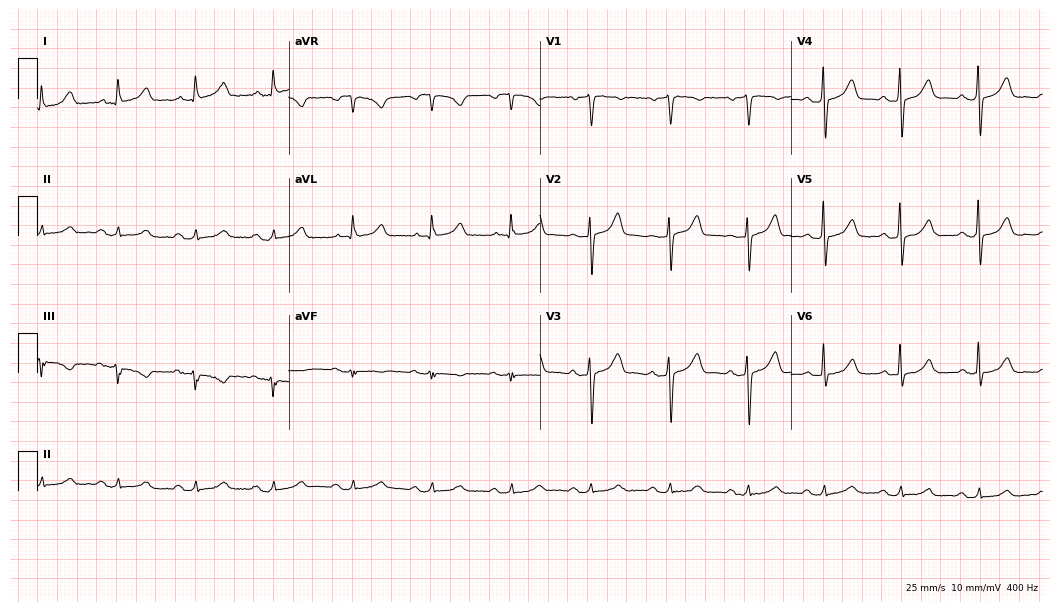
Resting 12-lead electrocardiogram (10.2-second recording at 400 Hz). Patient: a 70-year-old male. Read as a normal ECG.